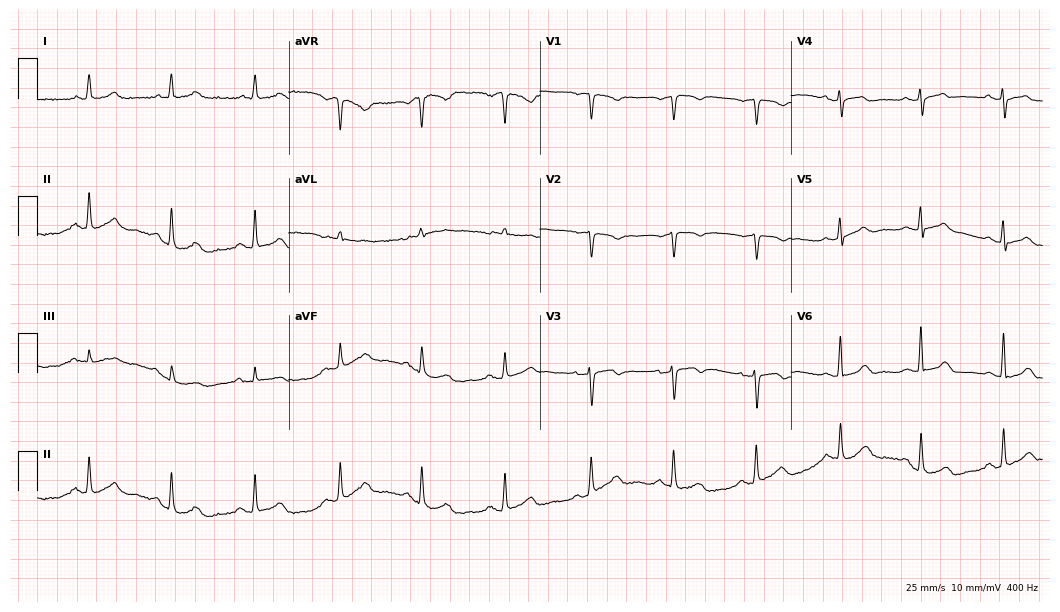
Resting 12-lead electrocardiogram. Patient: a woman, 72 years old. None of these six findings is recorded: first-degree AV block, right bundle branch block (RBBB), left bundle branch block (LBBB), sinus bradycardia, atrial fibrillation (AF), sinus tachycardia. Findings outside these six are not listed.